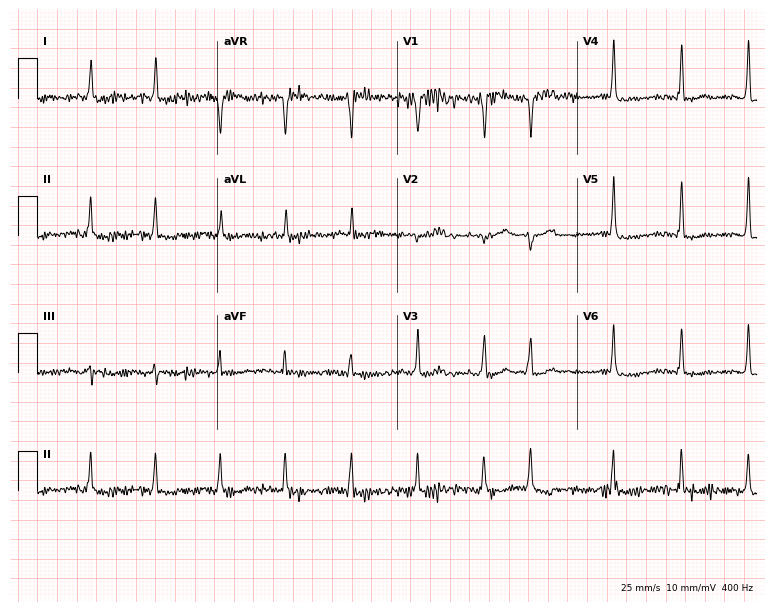
12-lead ECG from a 79-year-old woman (7.3-second recording at 400 Hz). No first-degree AV block, right bundle branch block (RBBB), left bundle branch block (LBBB), sinus bradycardia, atrial fibrillation (AF) or sinus tachycardia recorded for this tracing.